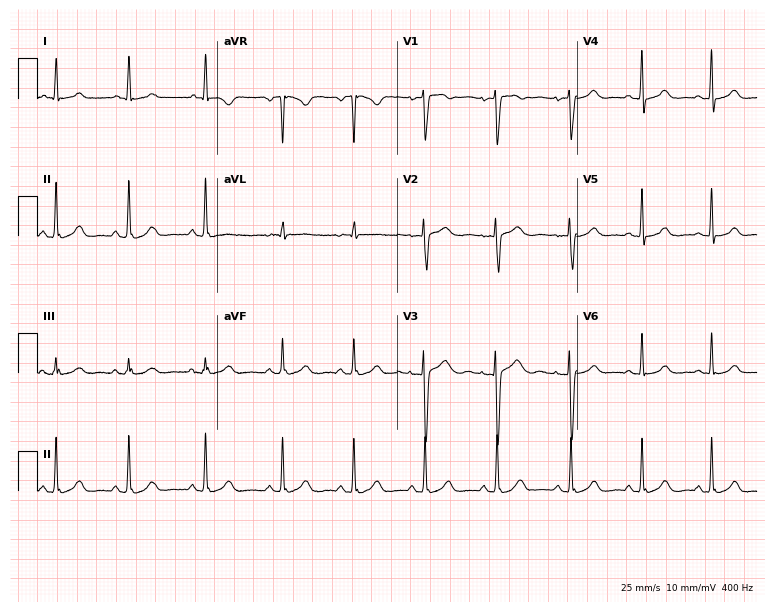
Standard 12-lead ECG recorded from a 29-year-old woman (7.3-second recording at 400 Hz). Read as a normal ECG.